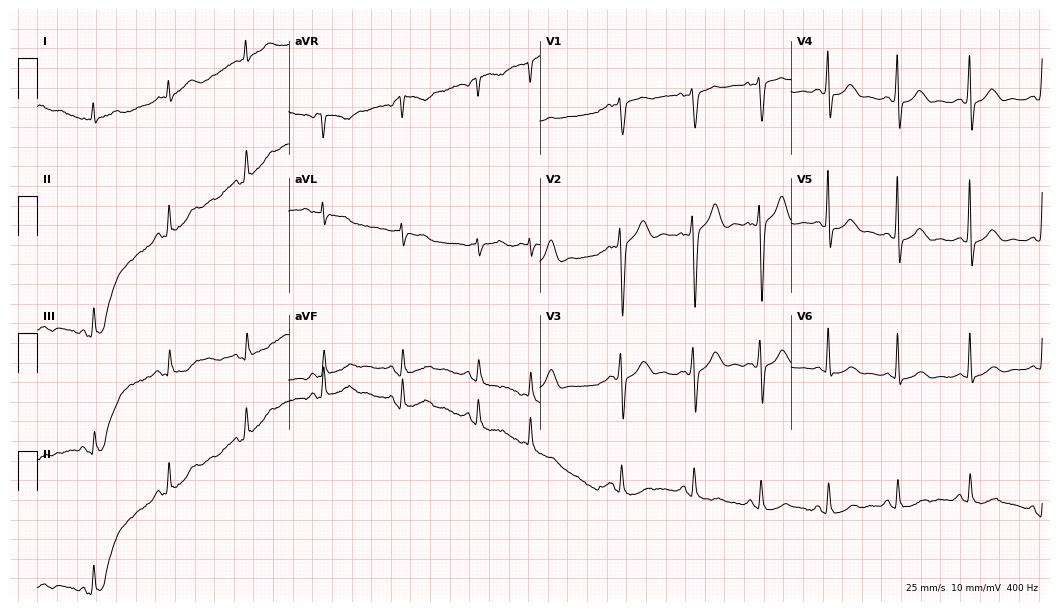
Electrocardiogram (10.2-second recording at 400 Hz), a man, 58 years old. Of the six screened findings (first-degree AV block, right bundle branch block (RBBB), left bundle branch block (LBBB), sinus bradycardia, atrial fibrillation (AF), sinus tachycardia), none is recorded. Findings outside these six are not listed.